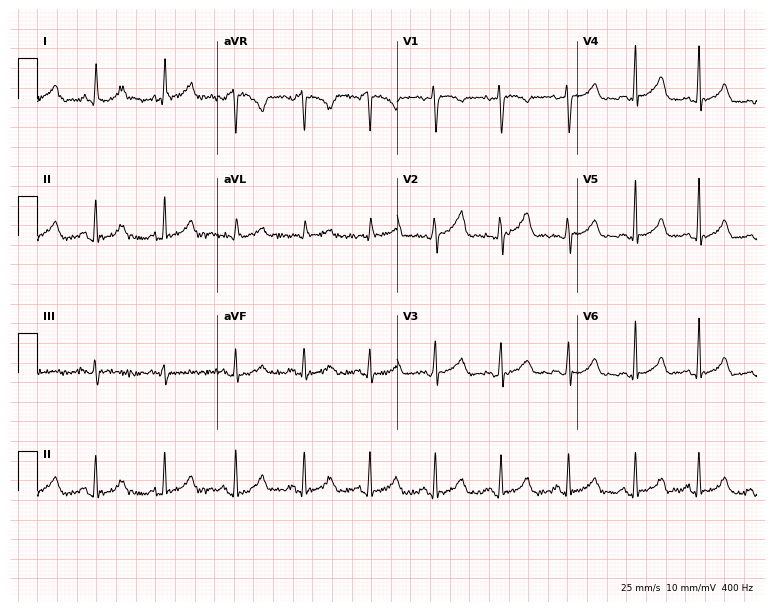
12-lead ECG from a 39-year-old female (7.3-second recording at 400 Hz). Recorded interpretation: within normal limits.